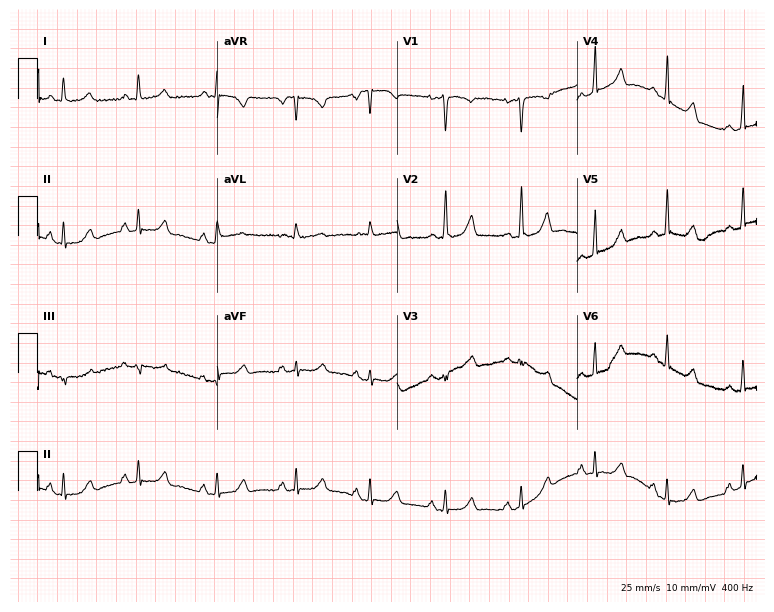
Resting 12-lead electrocardiogram. Patient: a 46-year-old female. None of these six findings is recorded: first-degree AV block, right bundle branch block (RBBB), left bundle branch block (LBBB), sinus bradycardia, atrial fibrillation (AF), sinus tachycardia.